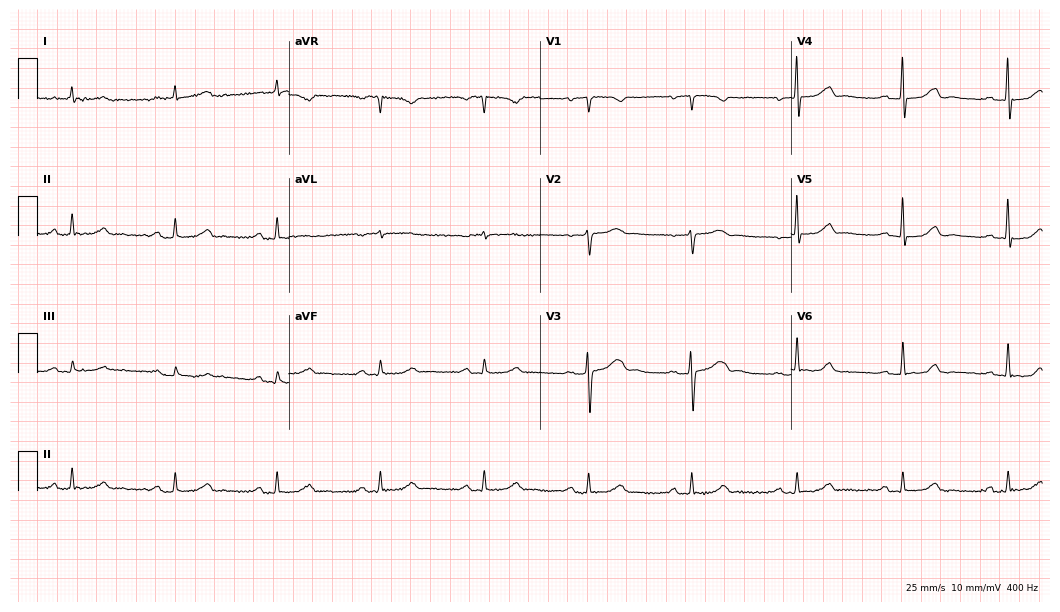
Resting 12-lead electrocardiogram. Patient: a female, 79 years old. Read as a normal ECG.